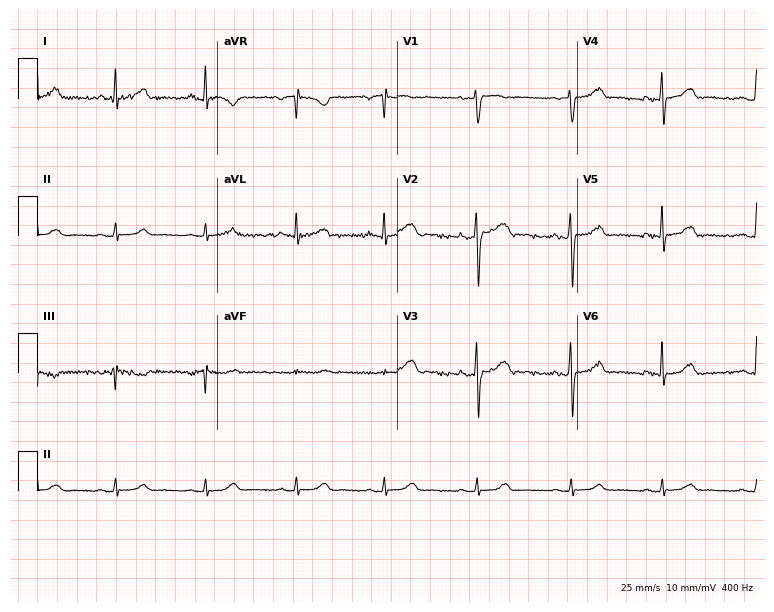
ECG (7.3-second recording at 400 Hz) — a female patient, 55 years old. Labelled as a normal ECG.